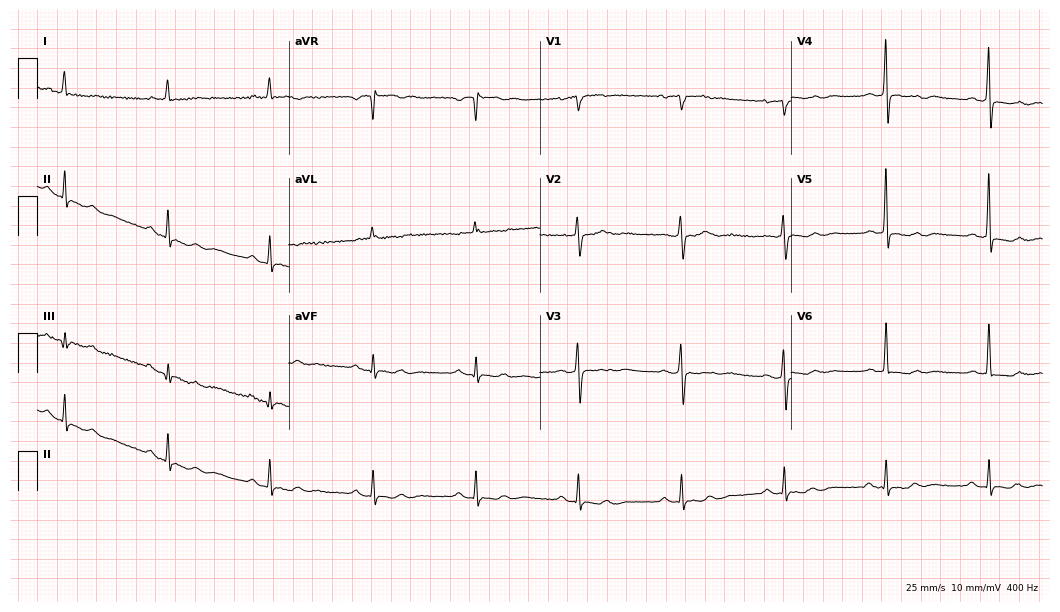
Resting 12-lead electrocardiogram (10.2-second recording at 400 Hz). Patient: a female, 70 years old. None of these six findings is recorded: first-degree AV block, right bundle branch block, left bundle branch block, sinus bradycardia, atrial fibrillation, sinus tachycardia. Only these six findings were labelled.